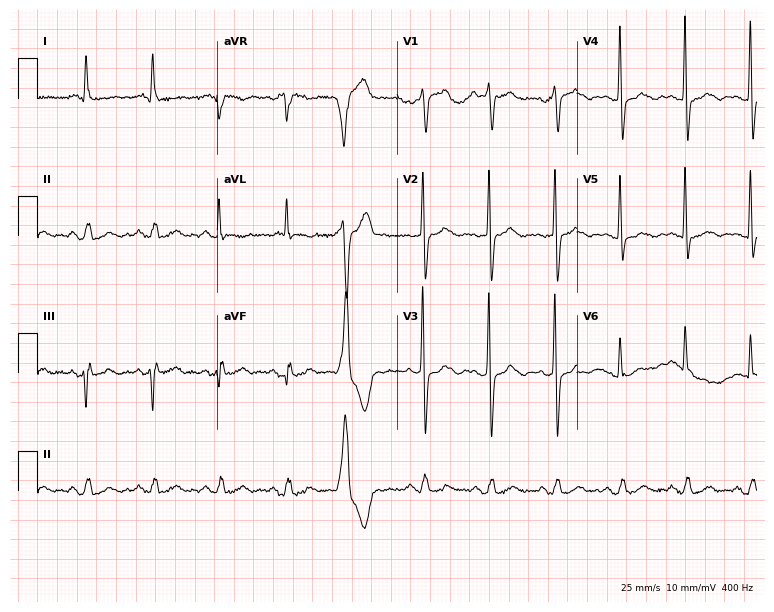
Standard 12-lead ECG recorded from a 70-year-old woman (7.3-second recording at 400 Hz). Read as a normal ECG.